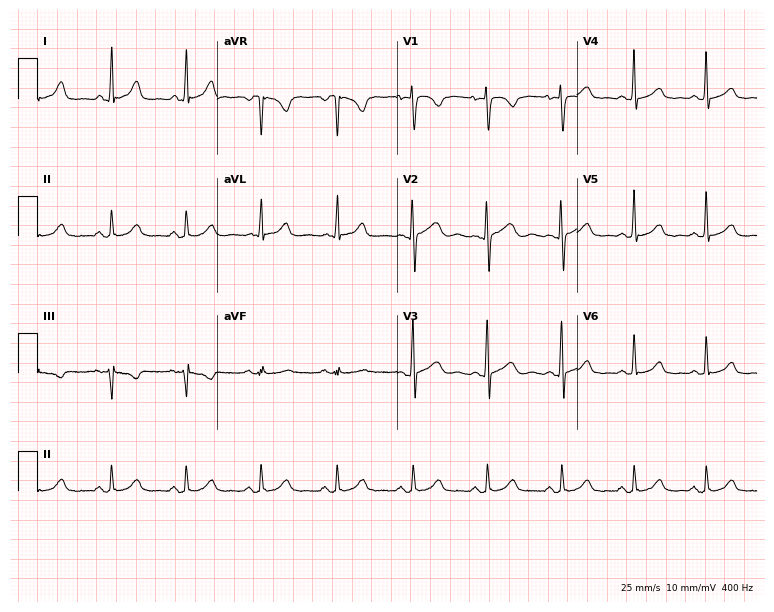
12-lead ECG from a female, 47 years old (7.3-second recording at 400 Hz). No first-degree AV block, right bundle branch block, left bundle branch block, sinus bradycardia, atrial fibrillation or sinus tachycardia recorded for this tracing. Only these six findings were labelled.